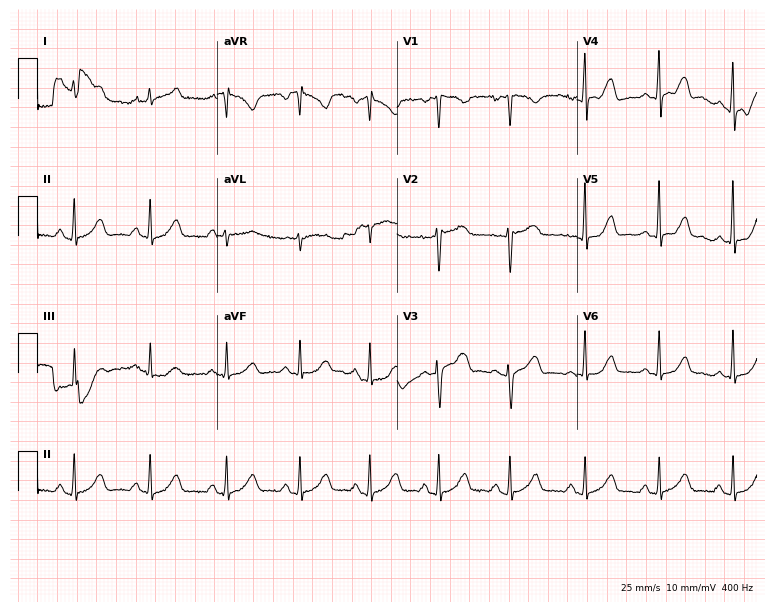
Standard 12-lead ECG recorded from a 42-year-old female. Read as a normal ECG.